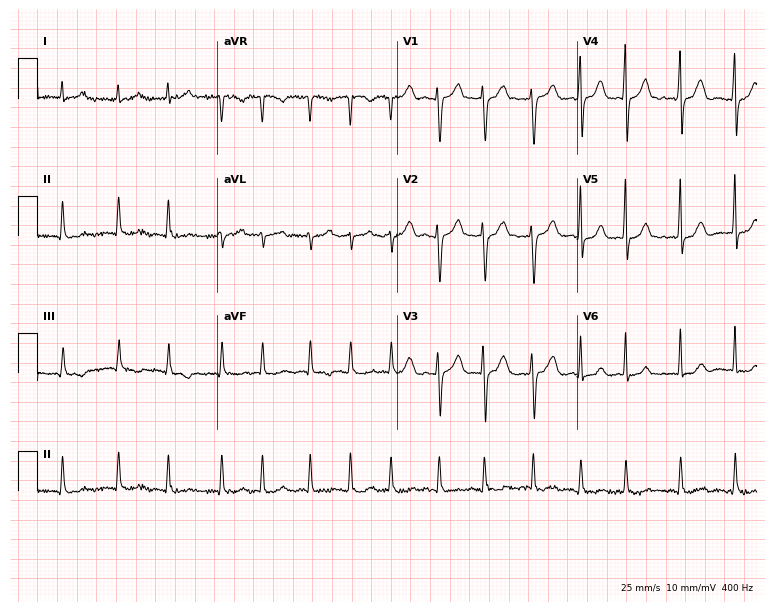
Electrocardiogram, a woman, 30 years old. Of the six screened findings (first-degree AV block, right bundle branch block, left bundle branch block, sinus bradycardia, atrial fibrillation, sinus tachycardia), none is recorded.